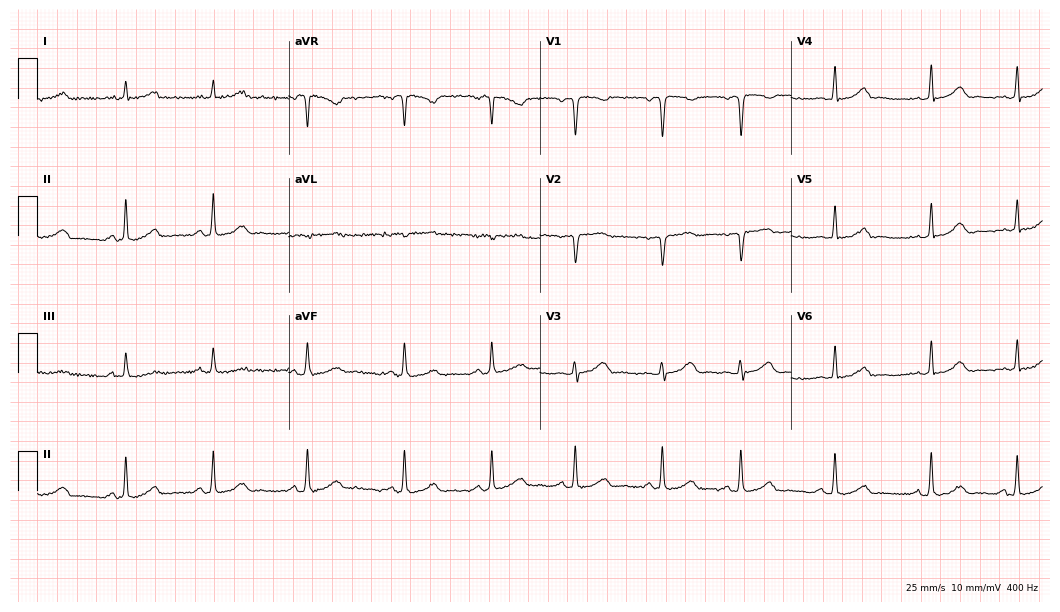
12-lead ECG (10.2-second recording at 400 Hz) from a 28-year-old female patient. Labelled as a normal ECG.